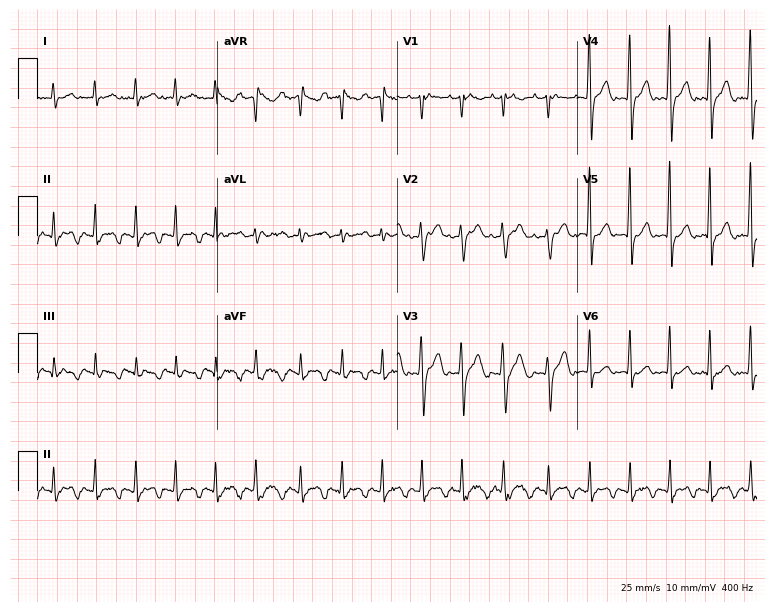
Electrocardiogram (7.3-second recording at 400 Hz), a male patient, 72 years old. Of the six screened findings (first-degree AV block, right bundle branch block, left bundle branch block, sinus bradycardia, atrial fibrillation, sinus tachycardia), none is recorded. Only these six findings were labelled.